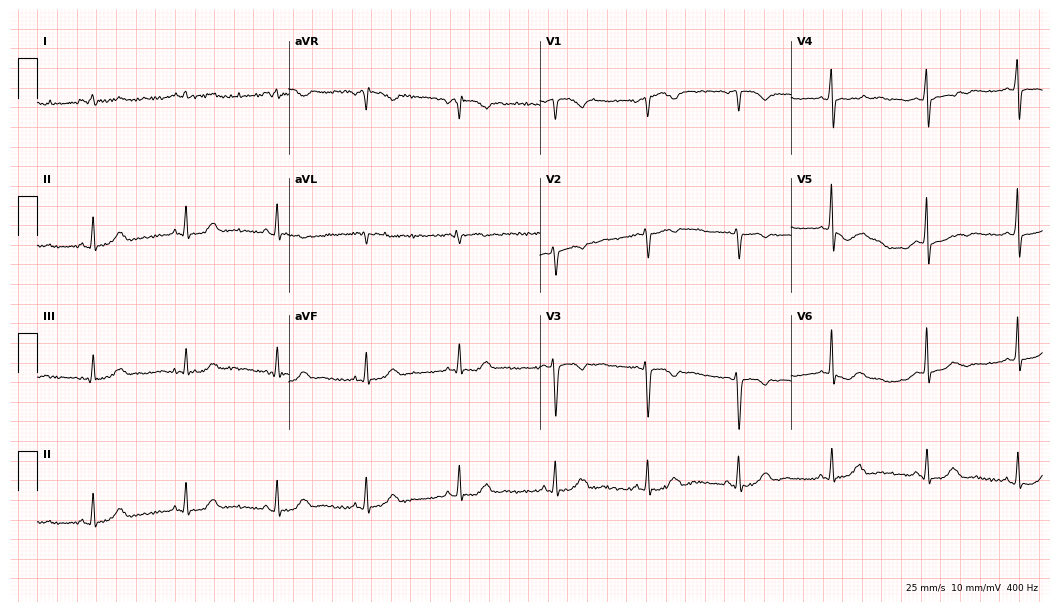
Resting 12-lead electrocardiogram. Patient: a female, 48 years old. None of these six findings is recorded: first-degree AV block, right bundle branch block, left bundle branch block, sinus bradycardia, atrial fibrillation, sinus tachycardia. Findings outside these six are not listed.